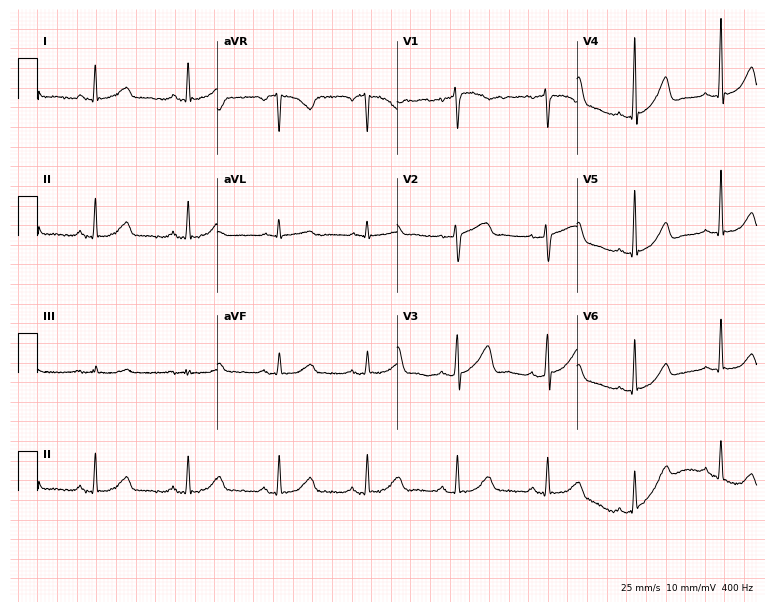
Resting 12-lead electrocardiogram (7.3-second recording at 400 Hz). Patient: a 54-year-old female. Read as a normal ECG.